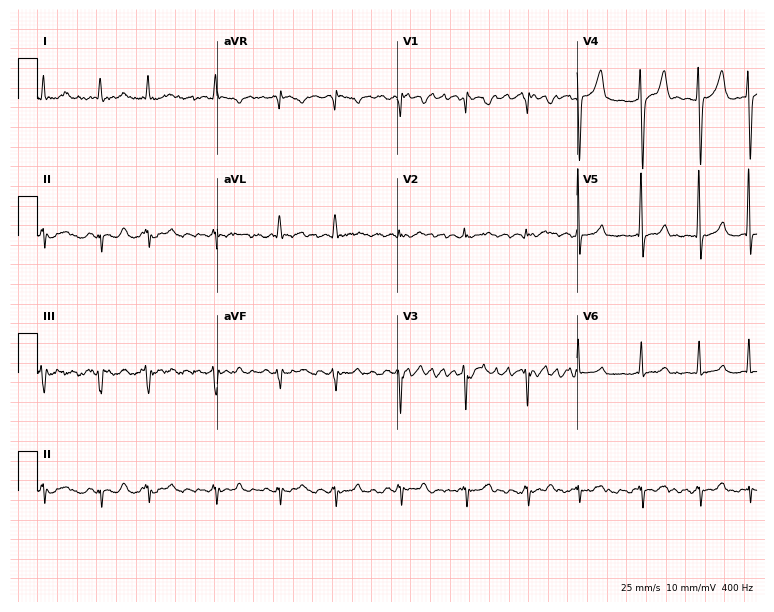
Electrocardiogram, a 70-year-old male patient. Interpretation includes atrial fibrillation (AF).